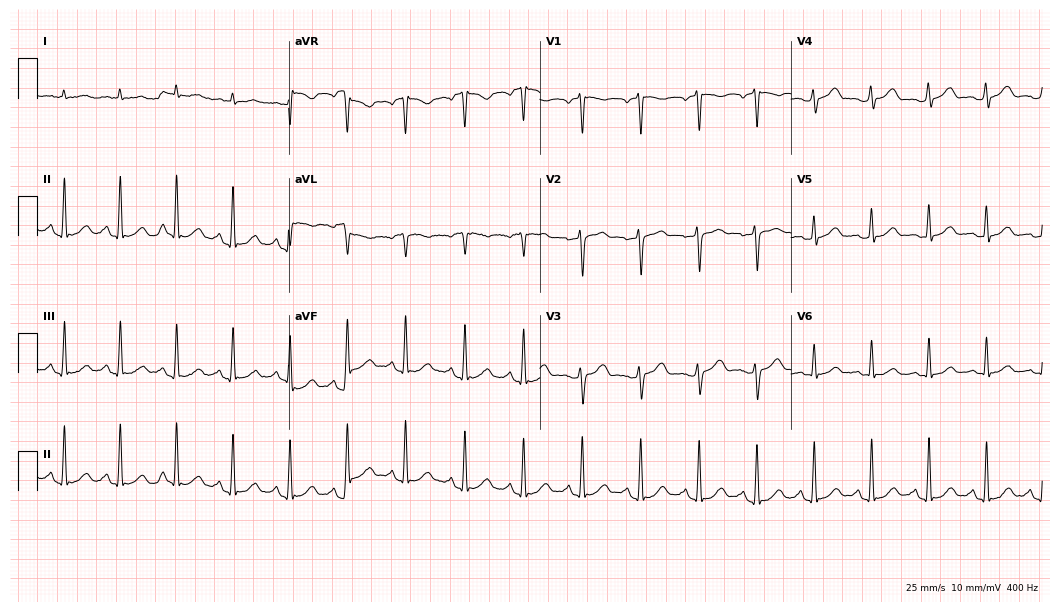
12-lead ECG (10.2-second recording at 400 Hz) from a male patient, 37 years old. Findings include sinus tachycardia (a sinus rate of 100 beats per minute or more).